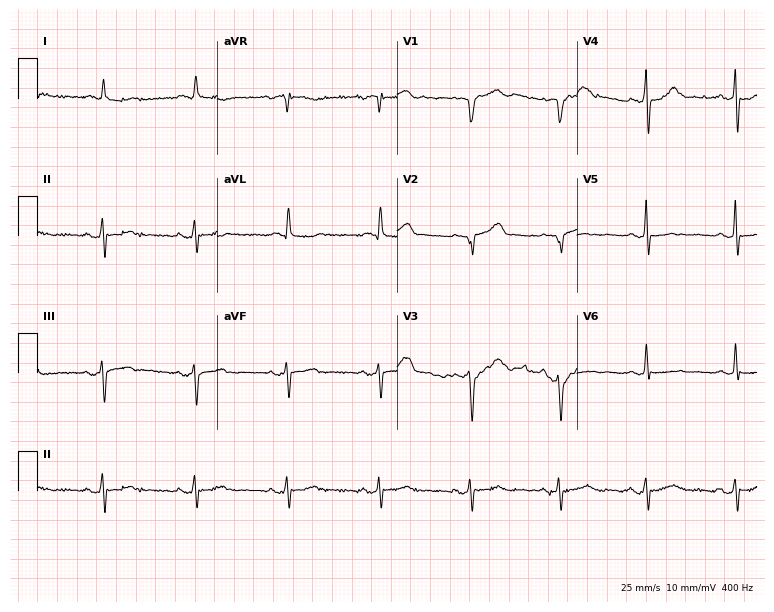
ECG — a male, 68 years old. Screened for six findings — first-degree AV block, right bundle branch block, left bundle branch block, sinus bradycardia, atrial fibrillation, sinus tachycardia — none is recorded. Other findings, if any, are not listed.